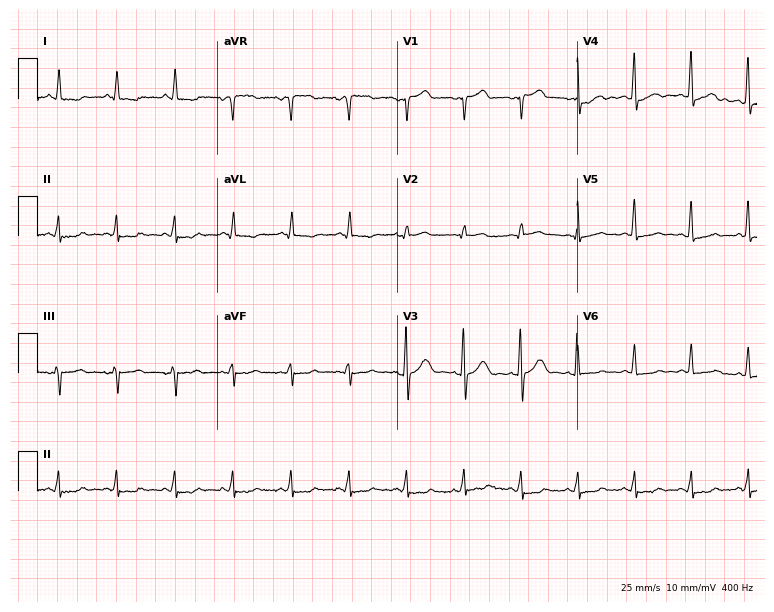
Electrocardiogram (7.3-second recording at 400 Hz), a 73-year-old man. Interpretation includes sinus tachycardia (a sinus rate of 100 beats per minute or more).